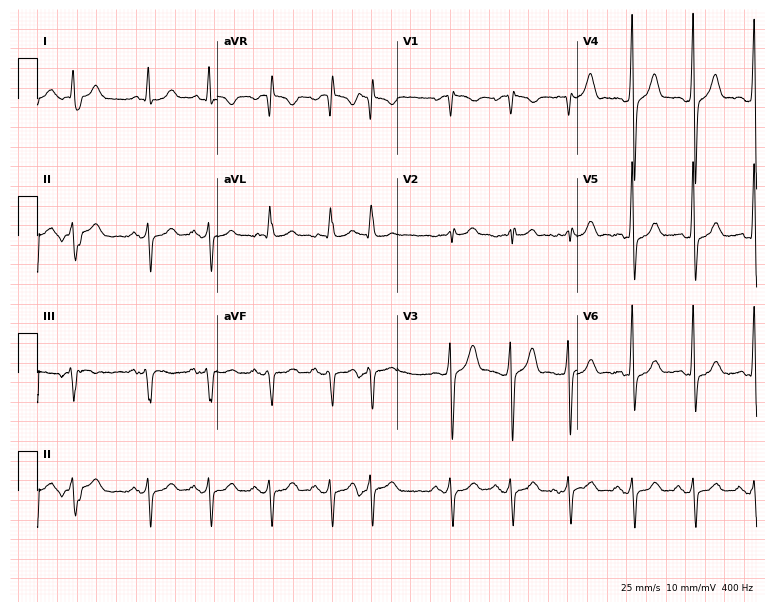
Standard 12-lead ECG recorded from a man, 63 years old (7.3-second recording at 400 Hz). None of these six findings is recorded: first-degree AV block, right bundle branch block, left bundle branch block, sinus bradycardia, atrial fibrillation, sinus tachycardia.